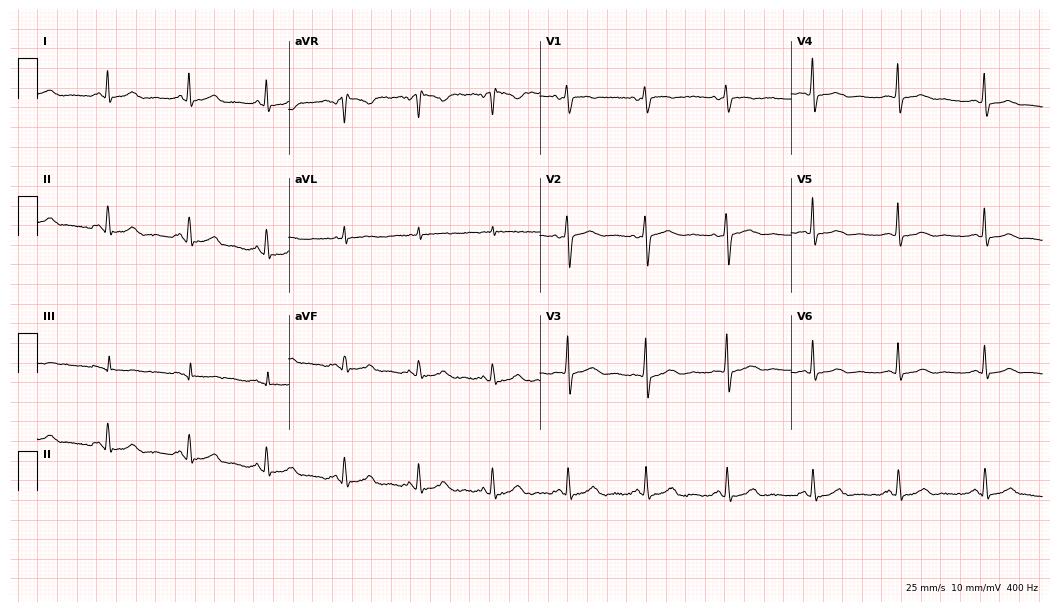
Resting 12-lead electrocardiogram (10.2-second recording at 400 Hz). Patient: a 52-year-old female. Read as a normal ECG.